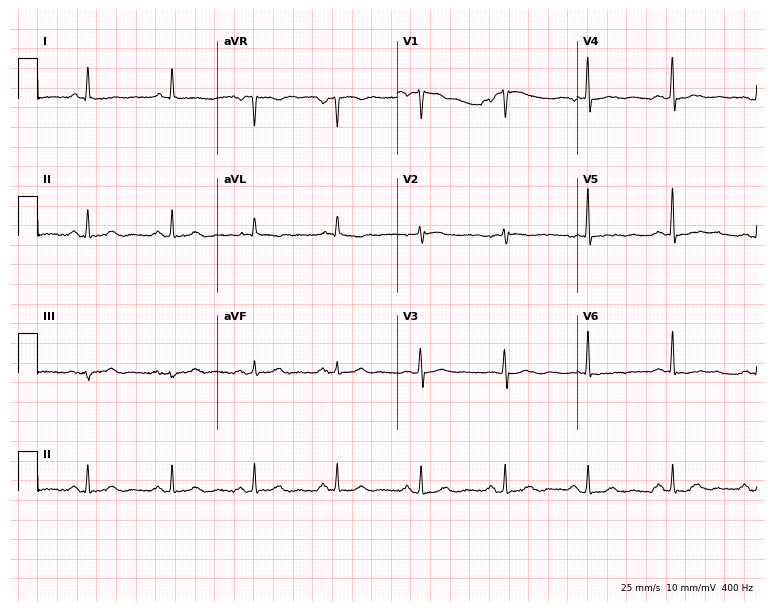
Electrocardiogram (7.3-second recording at 400 Hz), a male, 71 years old. Of the six screened findings (first-degree AV block, right bundle branch block, left bundle branch block, sinus bradycardia, atrial fibrillation, sinus tachycardia), none is recorded.